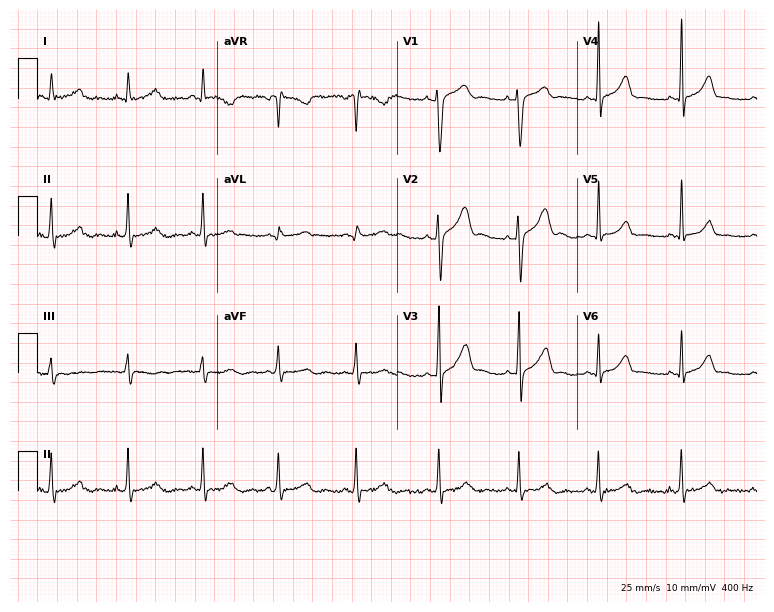
Standard 12-lead ECG recorded from a 27-year-old female (7.3-second recording at 400 Hz). None of these six findings is recorded: first-degree AV block, right bundle branch block (RBBB), left bundle branch block (LBBB), sinus bradycardia, atrial fibrillation (AF), sinus tachycardia. Findings outside these six are not listed.